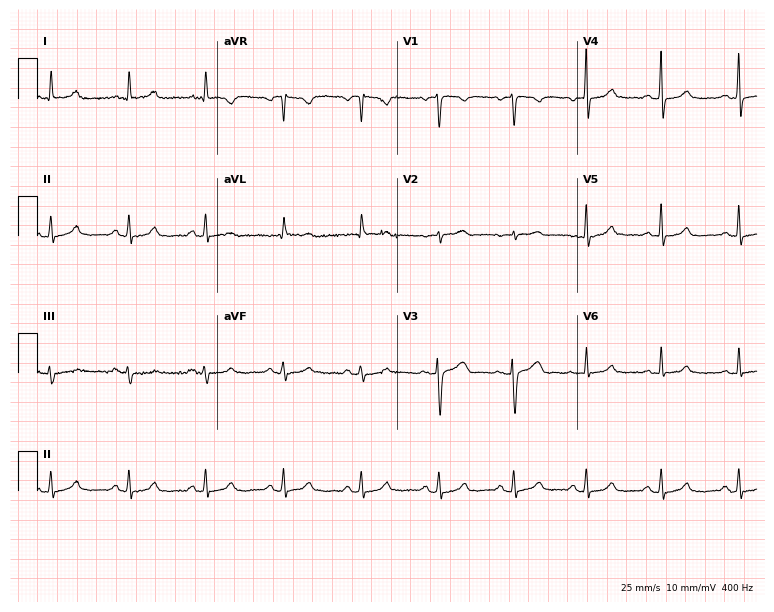
Standard 12-lead ECG recorded from a 54-year-old female (7.3-second recording at 400 Hz). Read as a normal ECG.